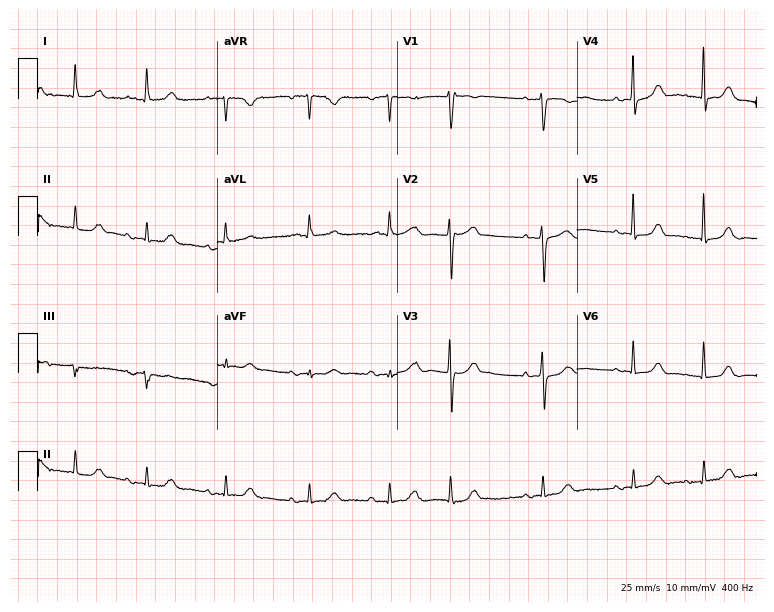
Standard 12-lead ECG recorded from a woman, 80 years old (7.3-second recording at 400 Hz). None of these six findings is recorded: first-degree AV block, right bundle branch block (RBBB), left bundle branch block (LBBB), sinus bradycardia, atrial fibrillation (AF), sinus tachycardia. Only these six findings were labelled.